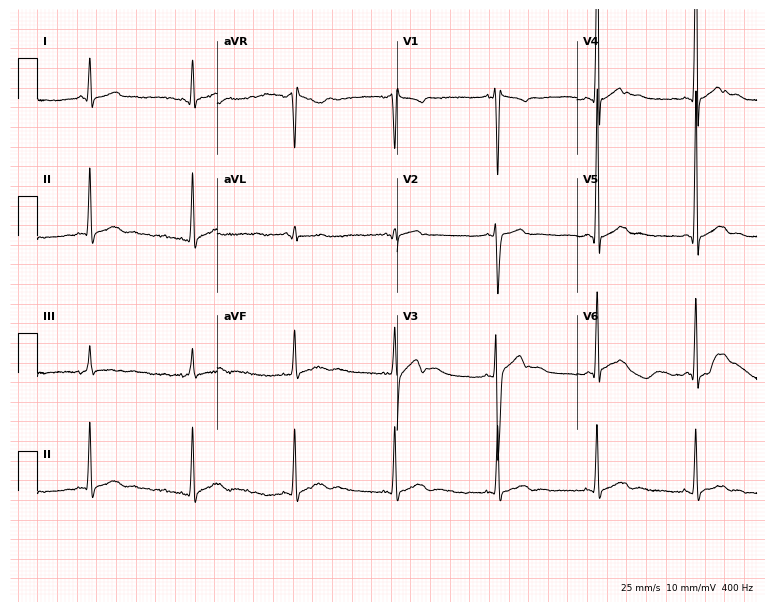
Resting 12-lead electrocardiogram (7.3-second recording at 400 Hz). Patient: an 18-year-old man. None of these six findings is recorded: first-degree AV block, right bundle branch block, left bundle branch block, sinus bradycardia, atrial fibrillation, sinus tachycardia.